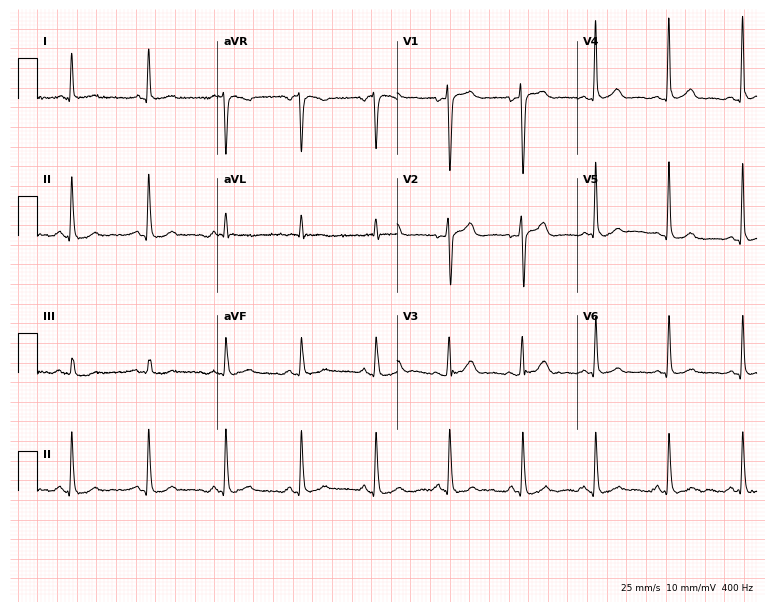
Electrocardiogram (7.3-second recording at 400 Hz), a man, 44 years old. Of the six screened findings (first-degree AV block, right bundle branch block, left bundle branch block, sinus bradycardia, atrial fibrillation, sinus tachycardia), none is recorded. Other findings, if any, are not listed.